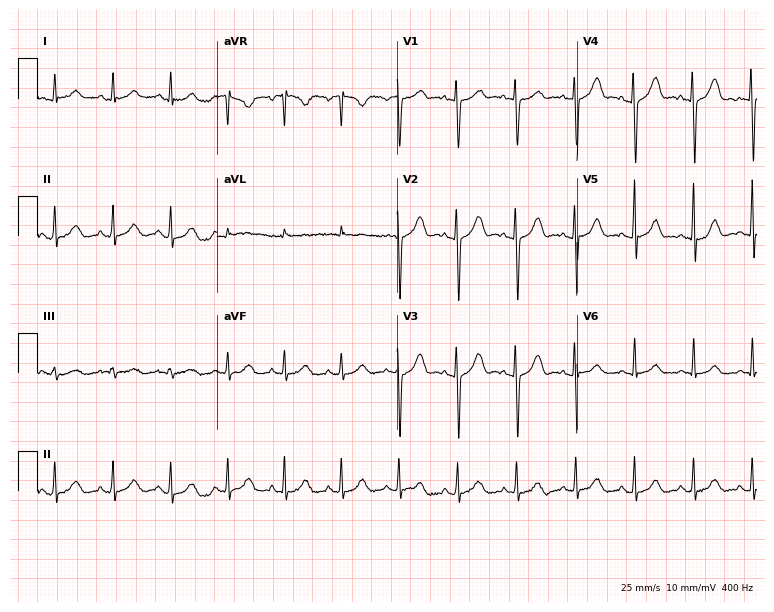
Electrocardiogram (7.3-second recording at 400 Hz), a 29-year-old female. Overall reading on record: normal ECG.